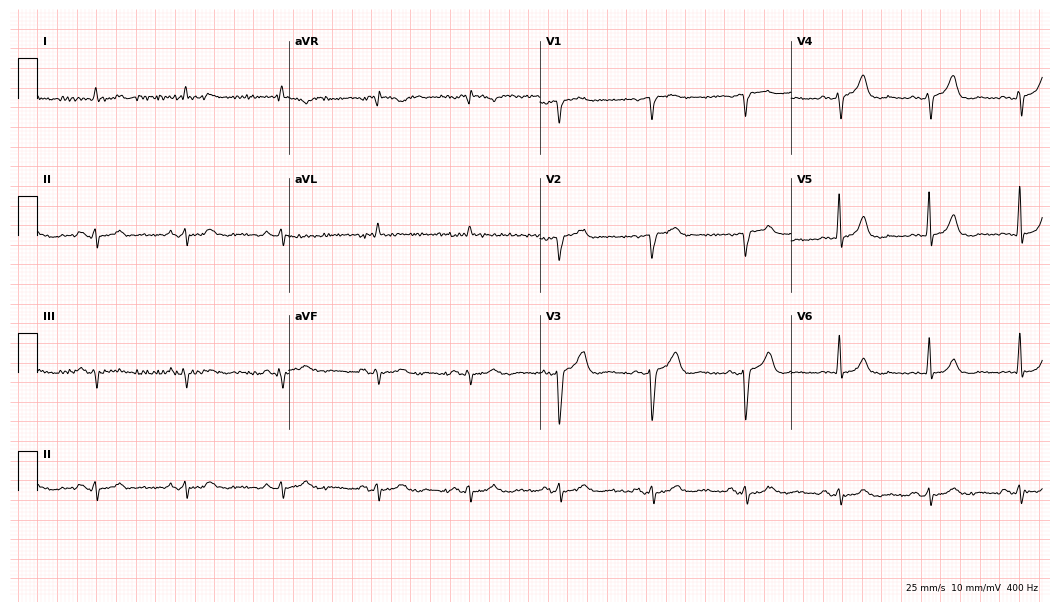
12-lead ECG from a 21-year-old man (10.2-second recording at 400 Hz). No first-degree AV block, right bundle branch block, left bundle branch block, sinus bradycardia, atrial fibrillation or sinus tachycardia recorded for this tracing. Only these six findings were labelled.